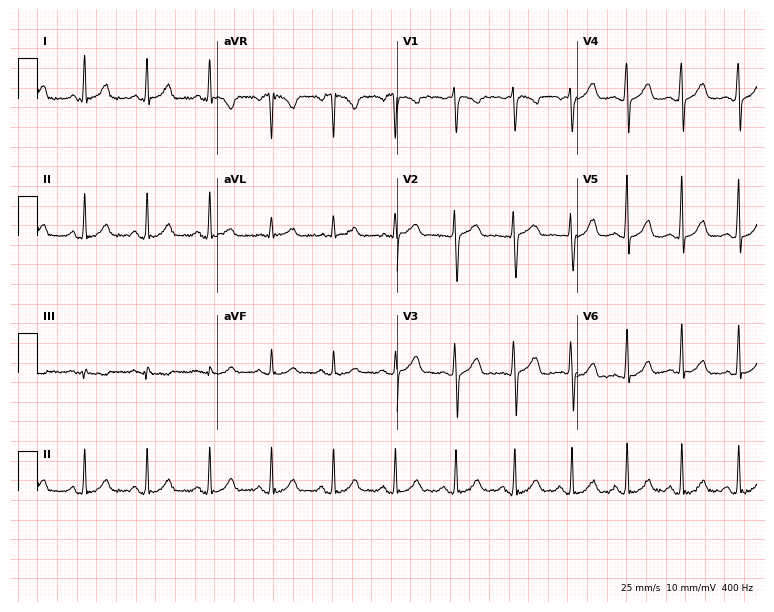
12-lead ECG (7.3-second recording at 400 Hz) from a female patient, 36 years old. Screened for six findings — first-degree AV block, right bundle branch block (RBBB), left bundle branch block (LBBB), sinus bradycardia, atrial fibrillation (AF), sinus tachycardia — none is recorded. Only these six findings were labelled.